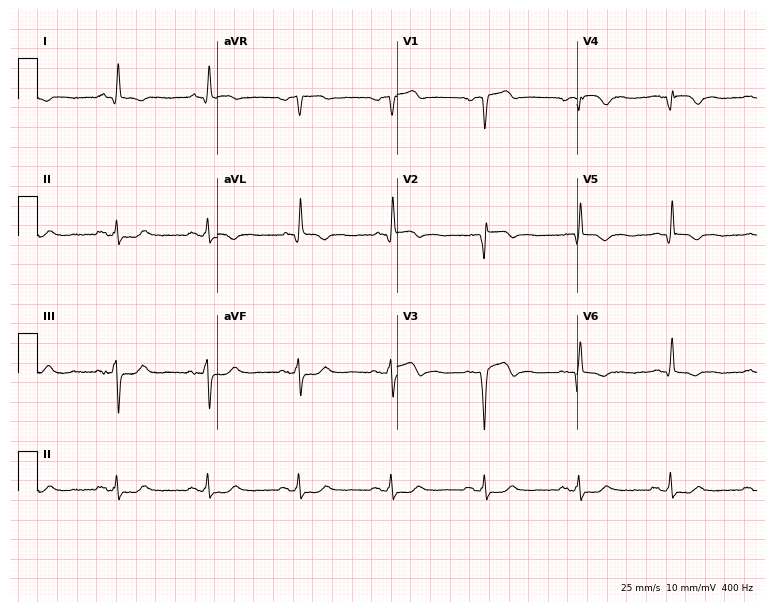
Standard 12-lead ECG recorded from a male, 70 years old. None of these six findings is recorded: first-degree AV block, right bundle branch block (RBBB), left bundle branch block (LBBB), sinus bradycardia, atrial fibrillation (AF), sinus tachycardia.